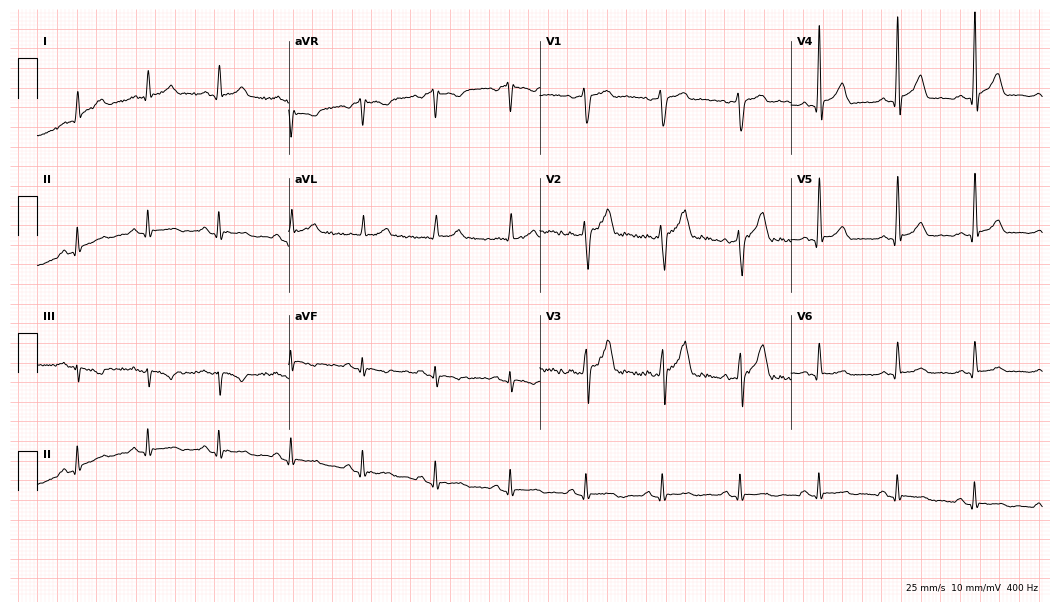
12-lead ECG from a male patient, 58 years old. No first-degree AV block, right bundle branch block (RBBB), left bundle branch block (LBBB), sinus bradycardia, atrial fibrillation (AF) or sinus tachycardia recorded for this tracing. Findings outside these six are not listed.